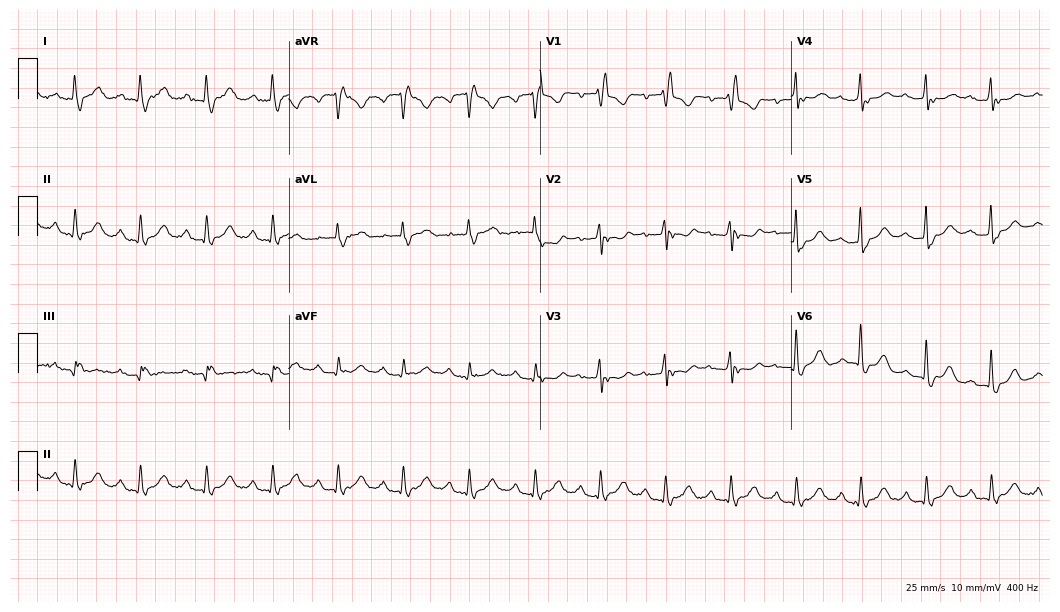
12-lead ECG from a 63-year-old female patient. Findings include right bundle branch block.